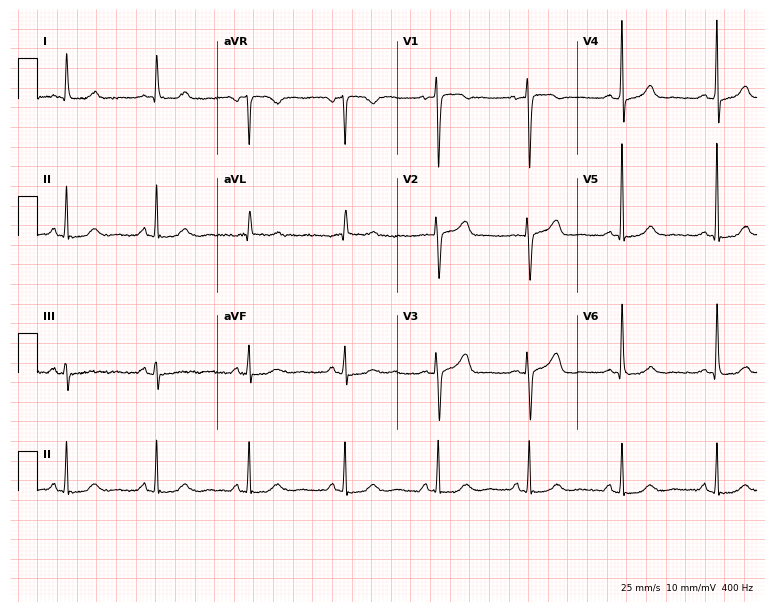
Standard 12-lead ECG recorded from a 65-year-old woman. Read as a normal ECG.